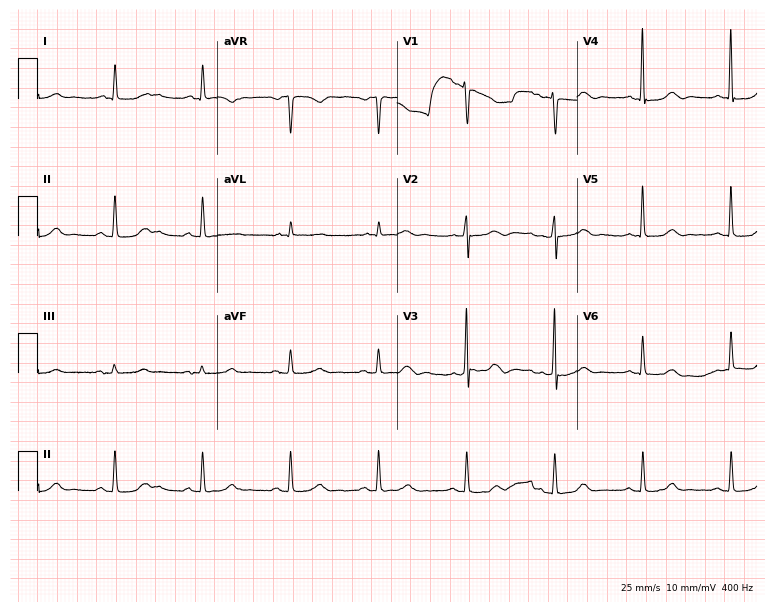
12-lead ECG from a 69-year-old female patient. Screened for six findings — first-degree AV block, right bundle branch block, left bundle branch block, sinus bradycardia, atrial fibrillation, sinus tachycardia — none is recorded. Other findings, if any, are not listed.